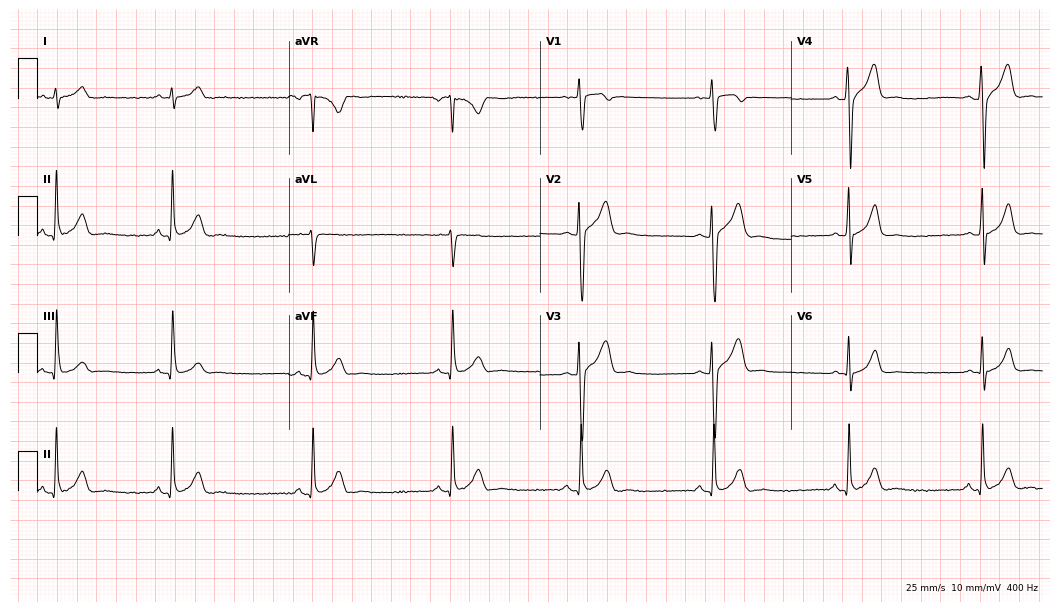
12-lead ECG from a 29-year-old male patient. Findings include sinus bradycardia (a sinus rate of 50 beats per minute or less).